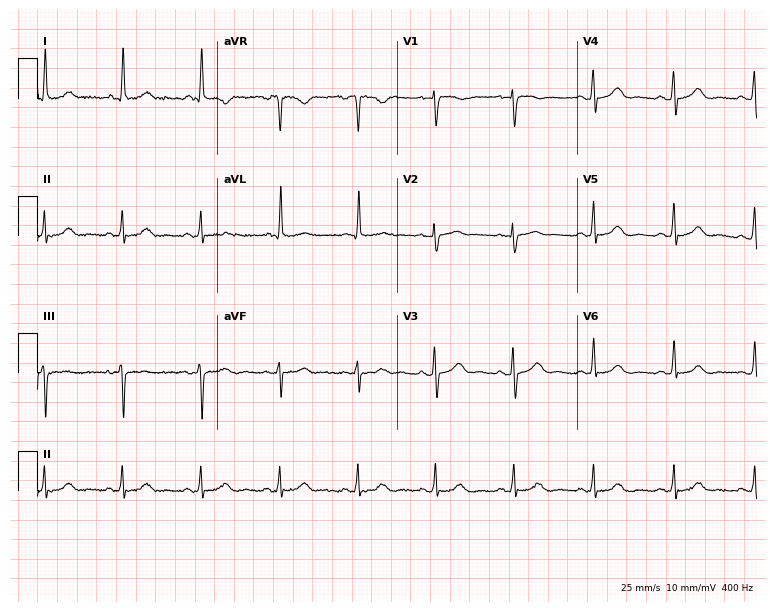
Electrocardiogram, a female patient, 73 years old. Of the six screened findings (first-degree AV block, right bundle branch block, left bundle branch block, sinus bradycardia, atrial fibrillation, sinus tachycardia), none is recorded. Only these six findings were labelled.